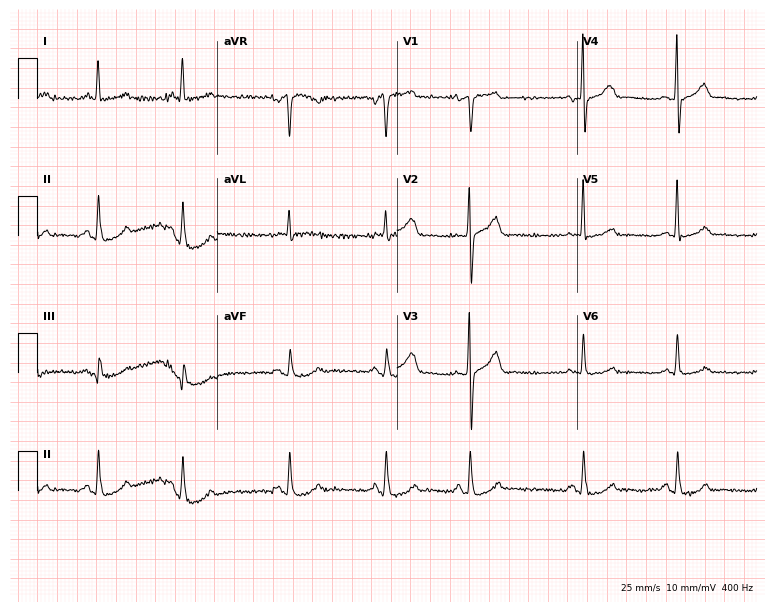
Standard 12-lead ECG recorded from a male, 61 years old (7.3-second recording at 400 Hz). Read as a normal ECG.